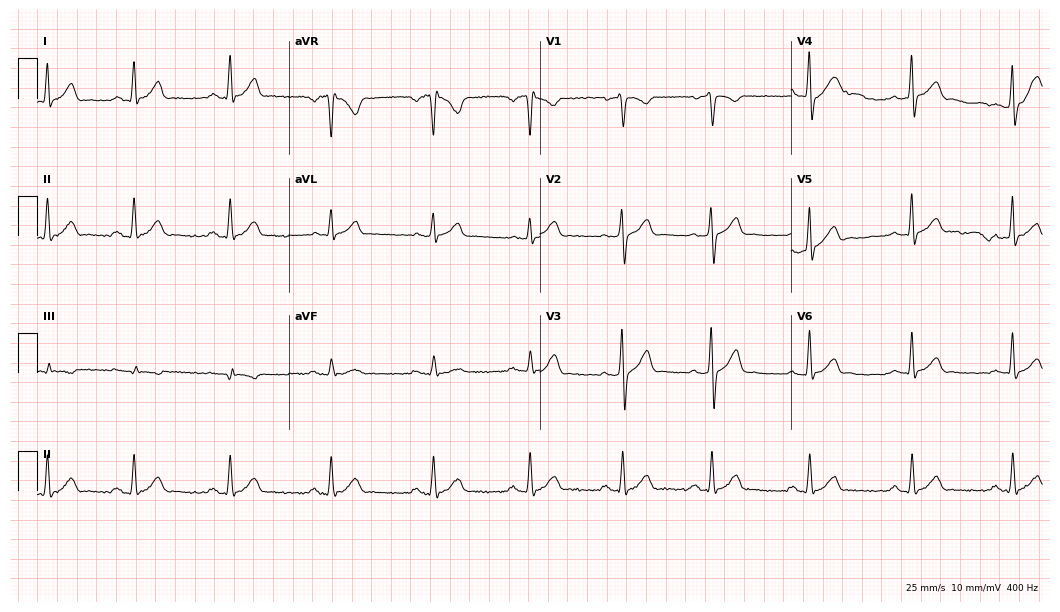
12-lead ECG from a 29-year-old male patient. Labelled as a normal ECG.